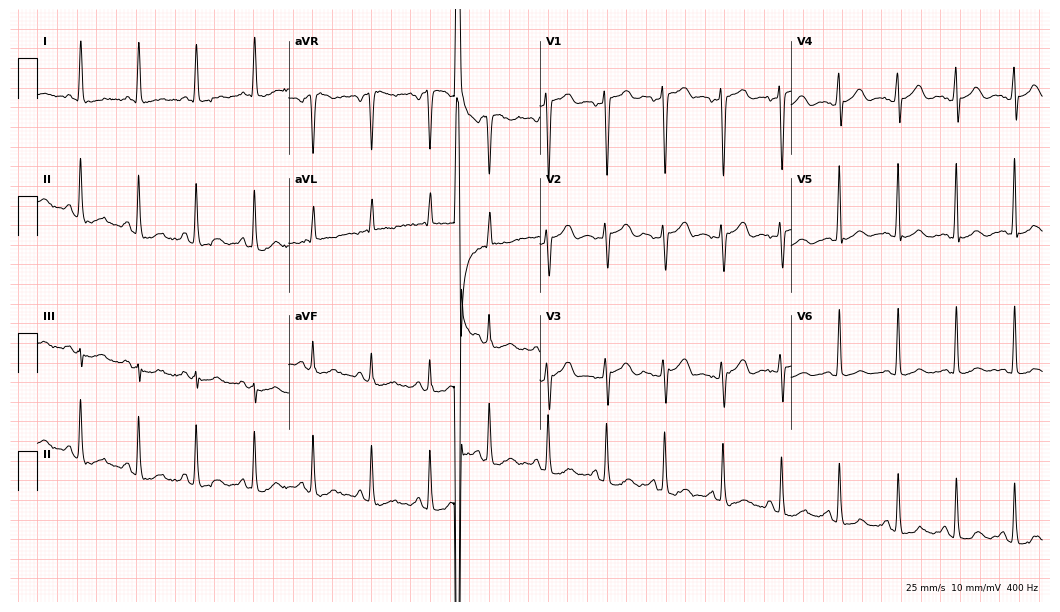
12-lead ECG from a female patient, 69 years old. Screened for six findings — first-degree AV block, right bundle branch block, left bundle branch block, sinus bradycardia, atrial fibrillation, sinus tachycardia — none is recorded. Findings outside these six are not listed.